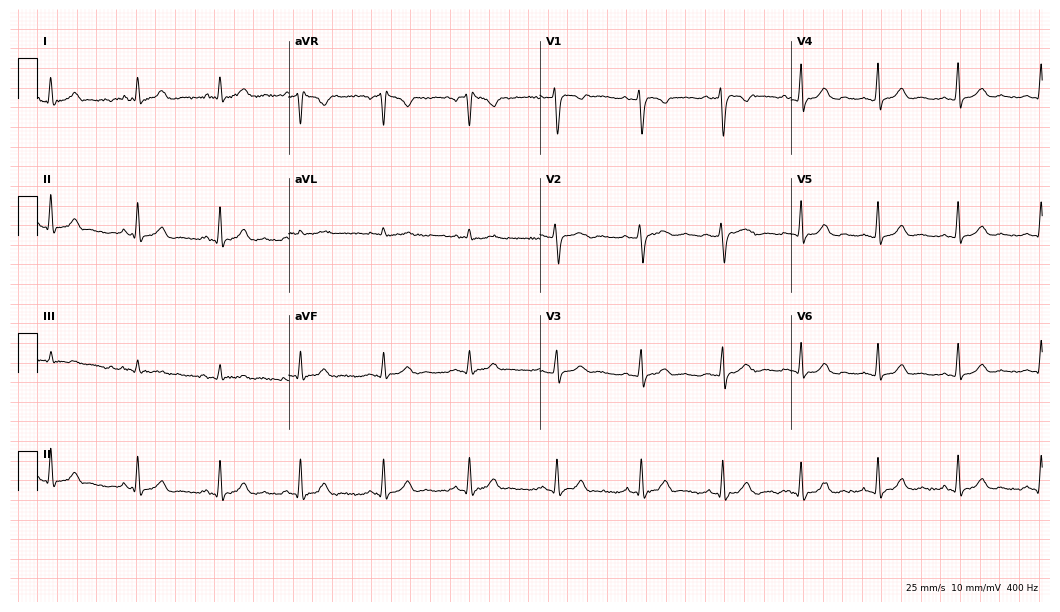
12-lead ECG from a 32-year-old woman. No first-degree AV block, right bundle branch block (RBBB), left bundle branch block (LBBB), sinus bradycardia, atrial fibrillation (AF) or sinus tachycardia recorded for this tracing.